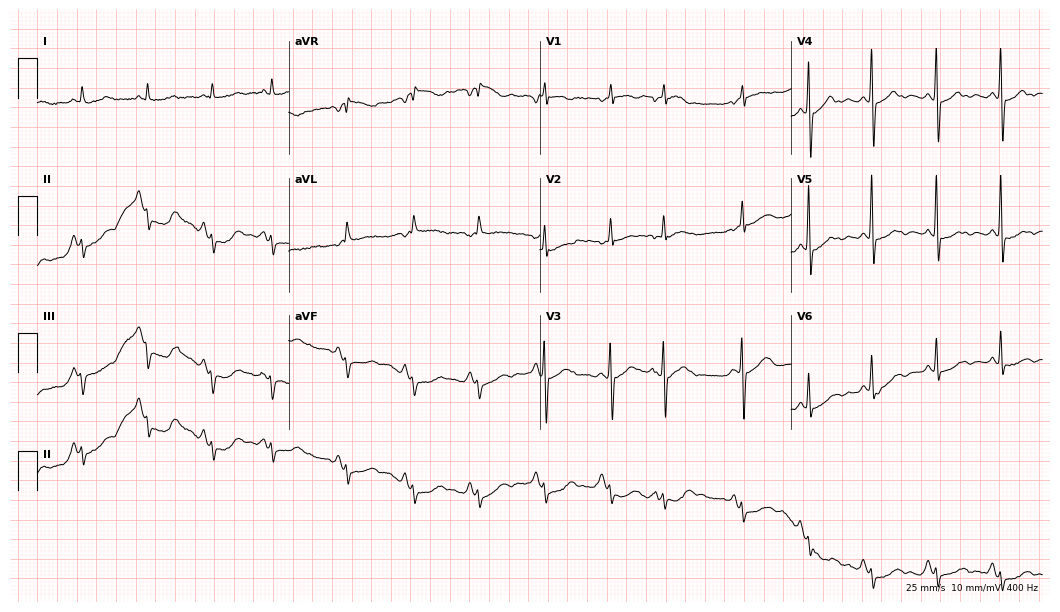
Electrocardiogram, a female, 80 years old. Of the six screened findings (first-degree AV block, right bundle branch block (RBBB), left bundle branch block (LBBB), sinus bradycardia, atrial fibrillation (AF), sinus tachycardia), none is recorded.